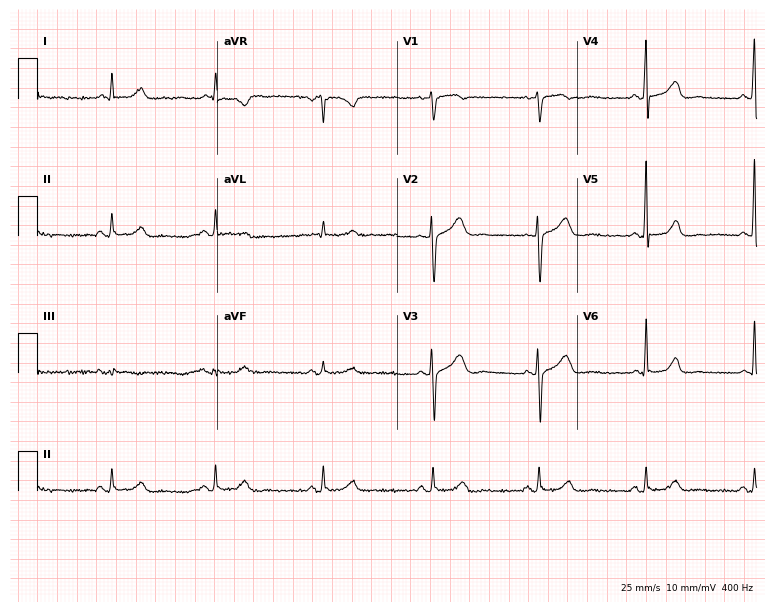
Electrocardiogram, a female, 54 years old. Of the six screened findings (first-degree AV block, right bundle branch block (RBBB), left bundle branch block (LBBB), sinus bradycardia, atrial fibrillation (AF), sinus tachycardia), none is recorded.